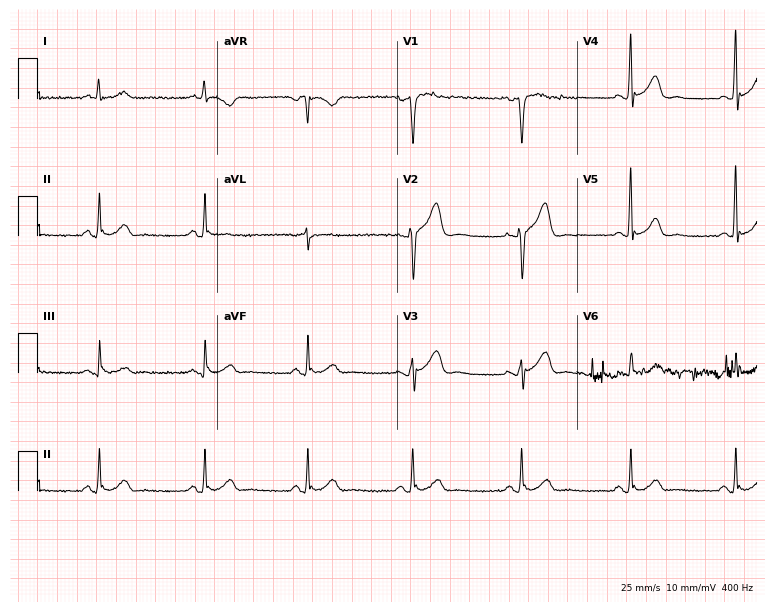
12-lead ECG from a 63-year-old male patient (7.3-second recording at 400 Hz). No first-degree AV block, right bundle branch block, left bundle branch block, sinus bradycardia, atrial fibrillation or sinus tachycardia recorded for this tracing. Only these six findings were labelled.